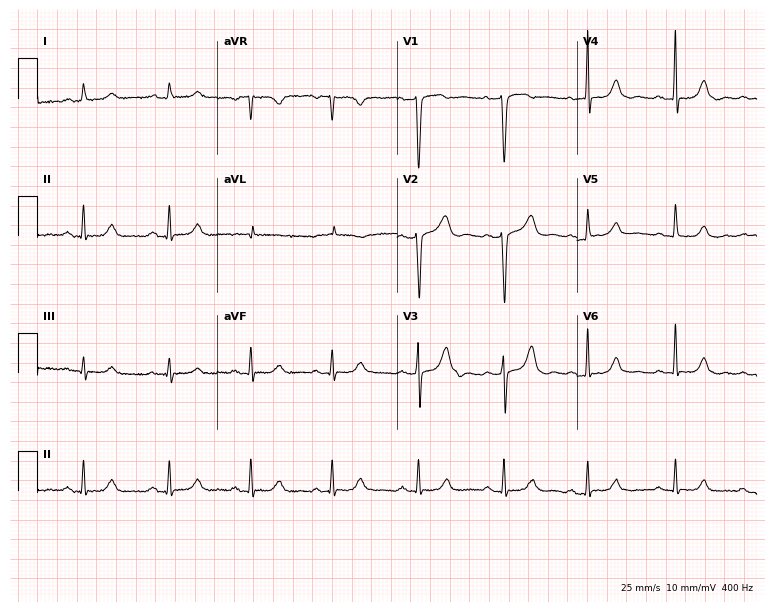
Electrocardiogram (7.3-second recording at 400 Hz), a female patient, 61 years old. Overall reading on record: normal ECG.